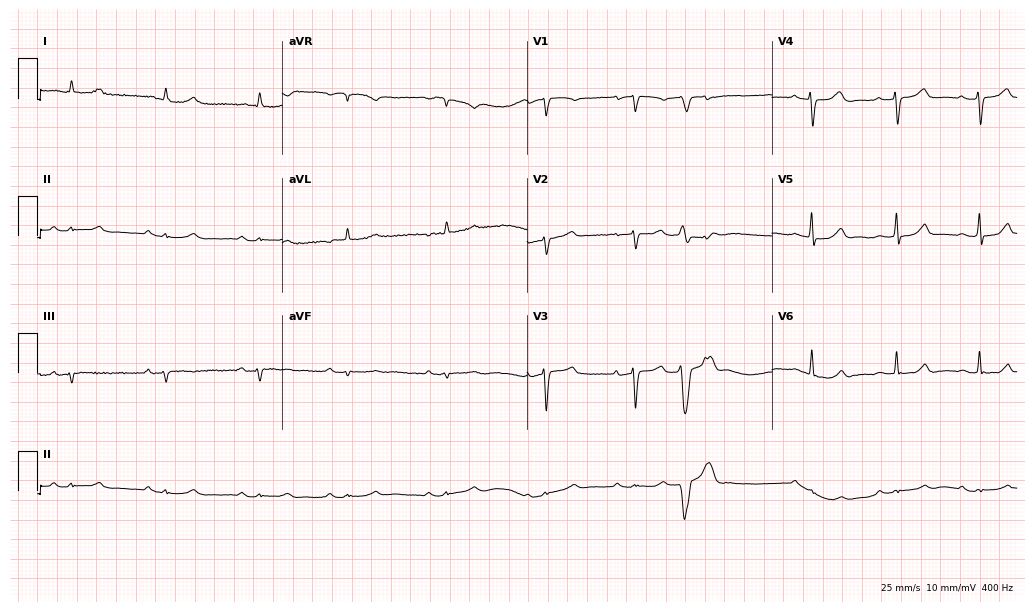
Standard 12-lead ECG recorded from an 80-year-old female patient. None of these six findings is recorded: first-degree AV block, right bundle branch block (RBBB), left bundle branch block (LBBB), sinus bradycardia, atrial fibrillation (AF), sinus tachycardia. Only these six findings were labelled.